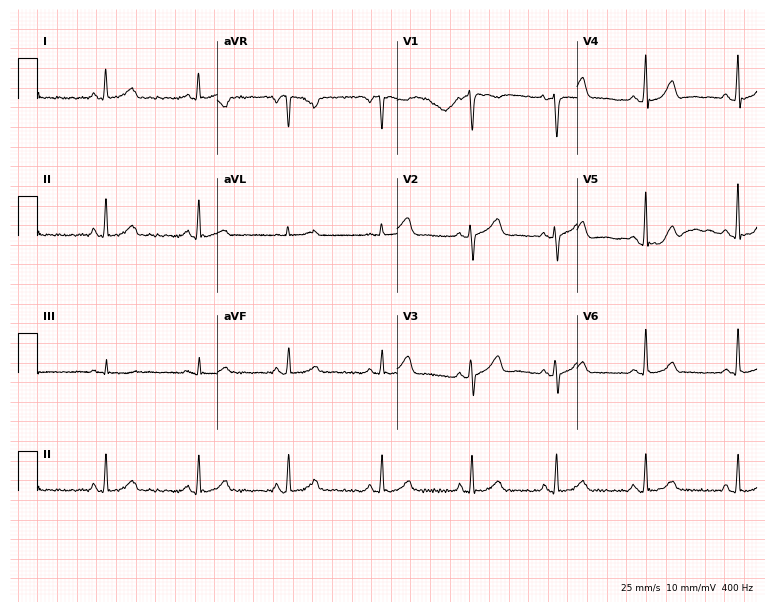
ECG — a 36-year-old woman. Screened for six findings — first-degree AV block, right bundle branch block (RBBB), left bundle branch block (LBBB), sinus bradycardia, atrial fibrillation (AF), sinus tachycardia — none is recorded. Other findings, if any, are not listed.